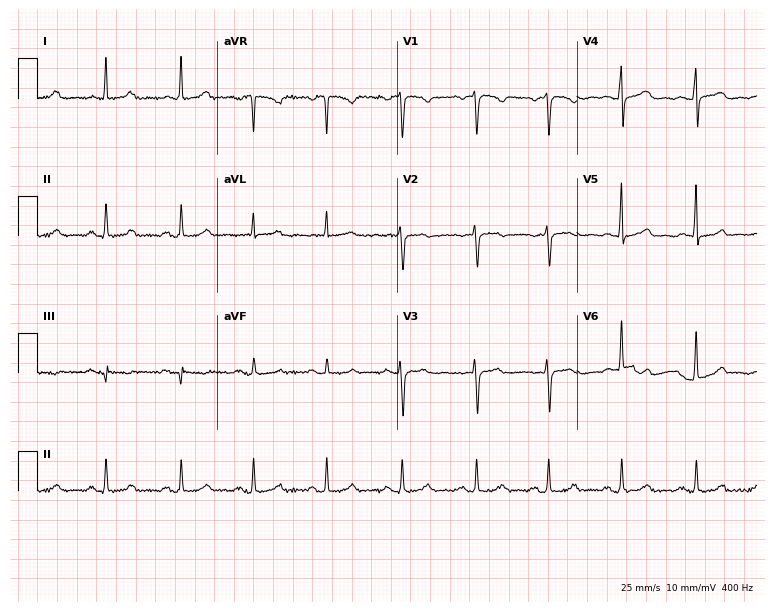
Standard 12-lead ECG recorded from a woman, 42 years old. Read as a normal ECG.